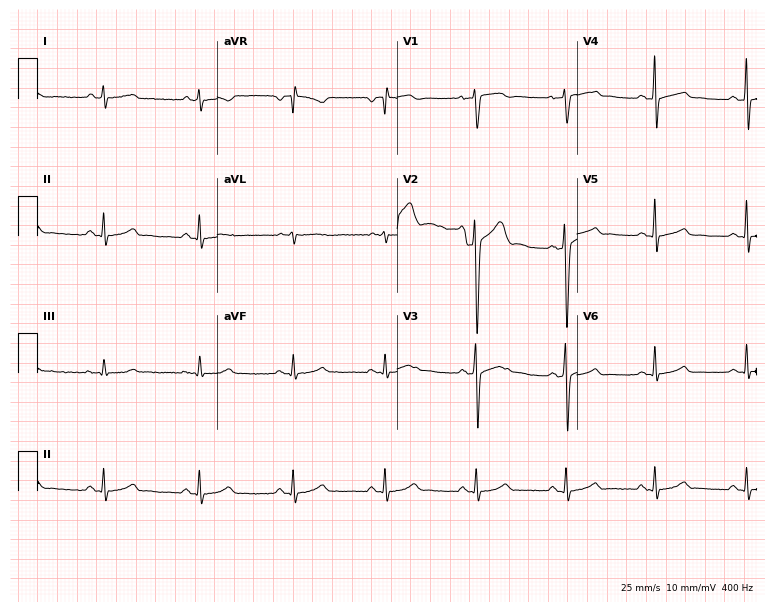
Standard 12-lead ECG recorded from a man, 41 years old (7.3-second recording at 400 Hz). None of these six findings is recorded: first-degree AV block, right bundle branch block (RBBB), left bundle branch block (LBBB), sinus bradycardia, atrial fibrillation (AF), sinus tachycardia. Only these six findings were labelled.